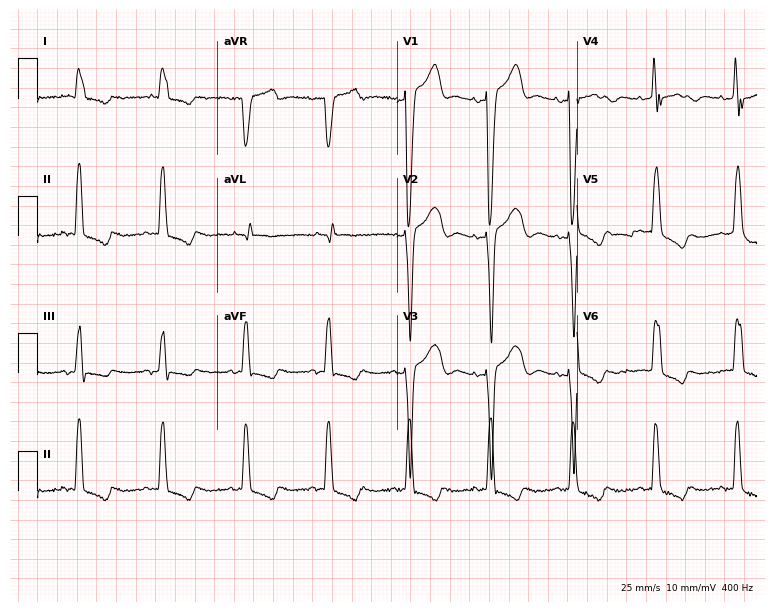
12-lead ECG (7.3-second recording at 400 Hz) from a female, 84 years old. Screened for six findings — first-degree AV block, right bundle branch block (RBBB), left bundle branch block (LBBB), sinus bradycardia, atrial fibrillation (AF), sinus tachycardia — none is recorded.